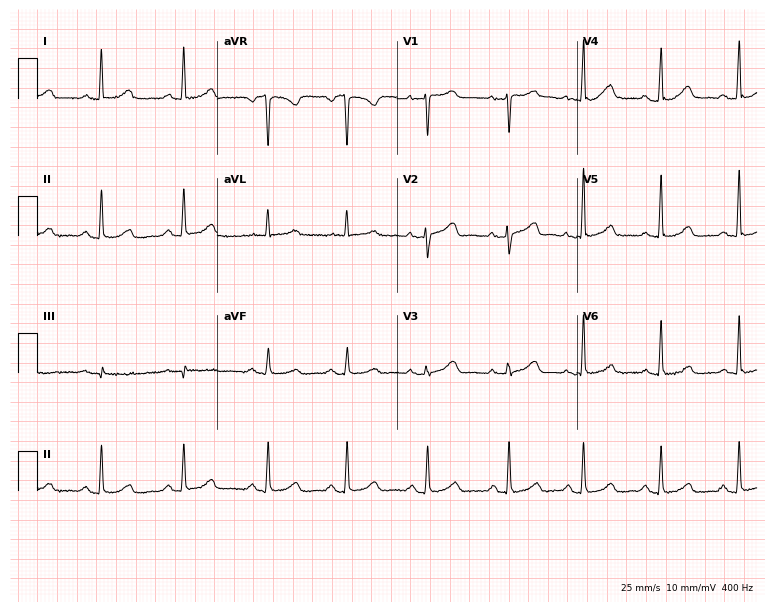
Electrocardiogram, a woman, 48 years old. Of the six screened findings (first-degree AV block, right bundle branch block, left bundle branch block, sinus bradycardia, atrial fibrillation, sinus tachycardia), none is recorded.